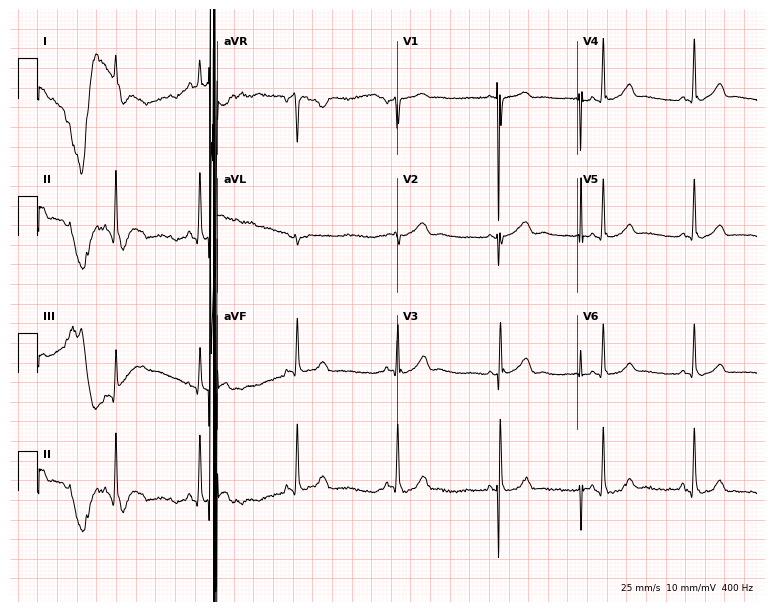
Resting 12-lead electrocardiogram. Patient: a woman, 21 years old. Read as a normal ECG.